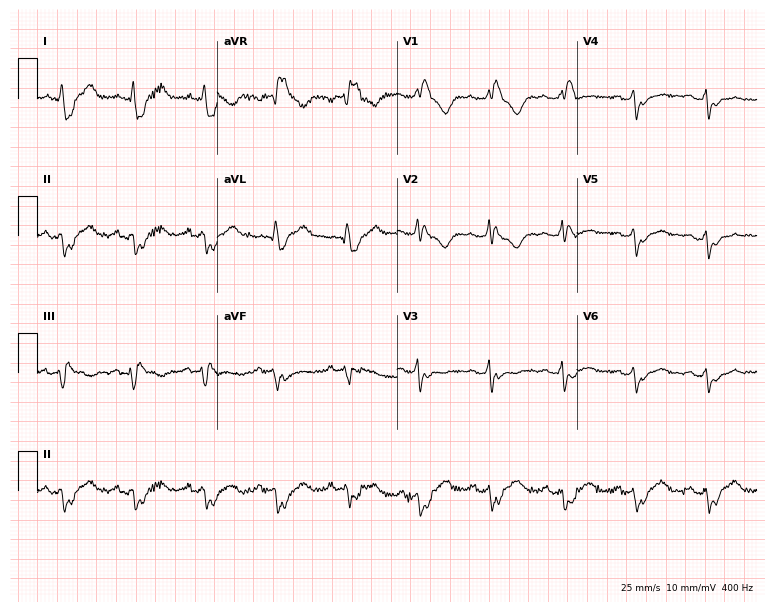
Standard 12-lead ECG recorded from a female, 42 years old. The tracing shows right bundle branch block (RBBB).